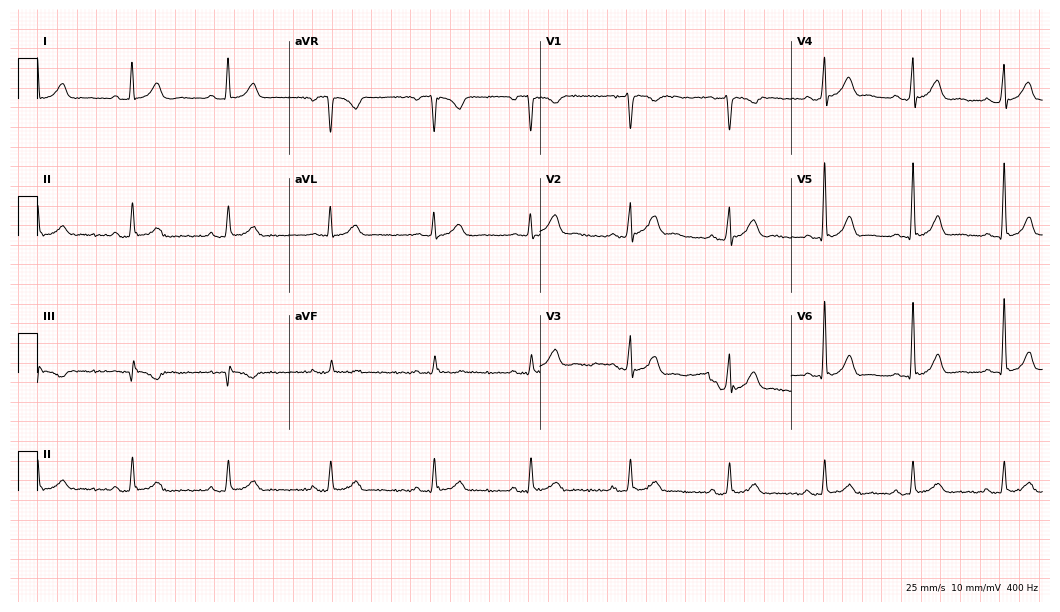
Electrocardiogram (10.2-second recording at 400 Hz), a 27-year-old male patient. Overall reading on record: normal ECG.